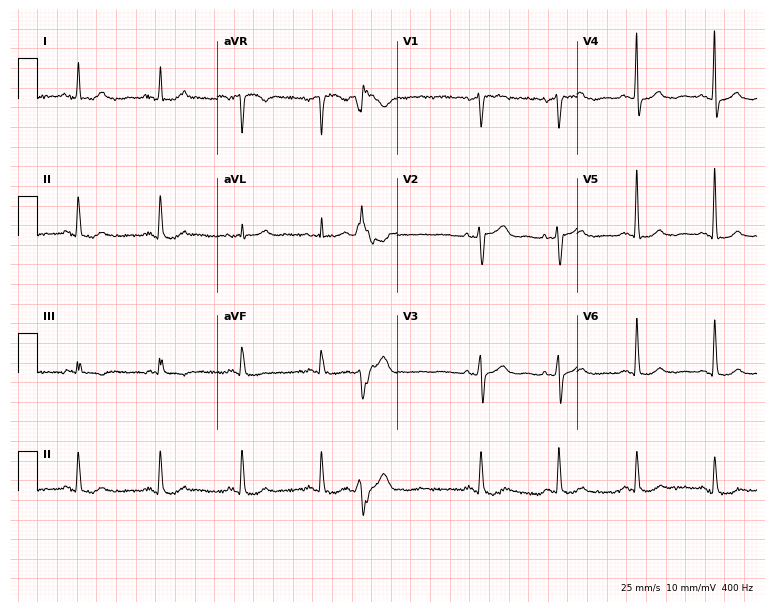
12-lead ECG (7.3-second recording at 400 Hz) from a female, 73 years old. Screened for six findings — first-degree AV block, right bundle branch block, left bundle branch block, sinus bradycardia, atrial fibrillation, sinus tachycardia — none is recorded. Only these six findings were labelled.